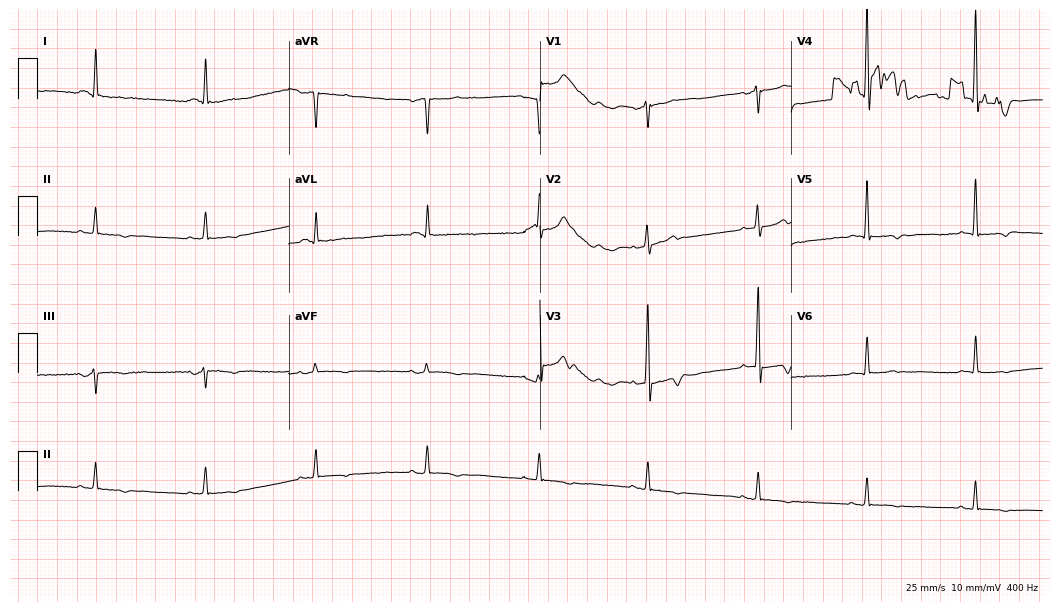
Resting 12-lead electrocardiogram (10.2-second recording at 400 Hz). Patient: a 77-year-old male. None of these six findings is recorded: first-degree AV block, right bundle branch block, left bundle branch block, sinus bradycardia, atrial fibrillation, sinus tachycardia. Findings outside these six are not listed.